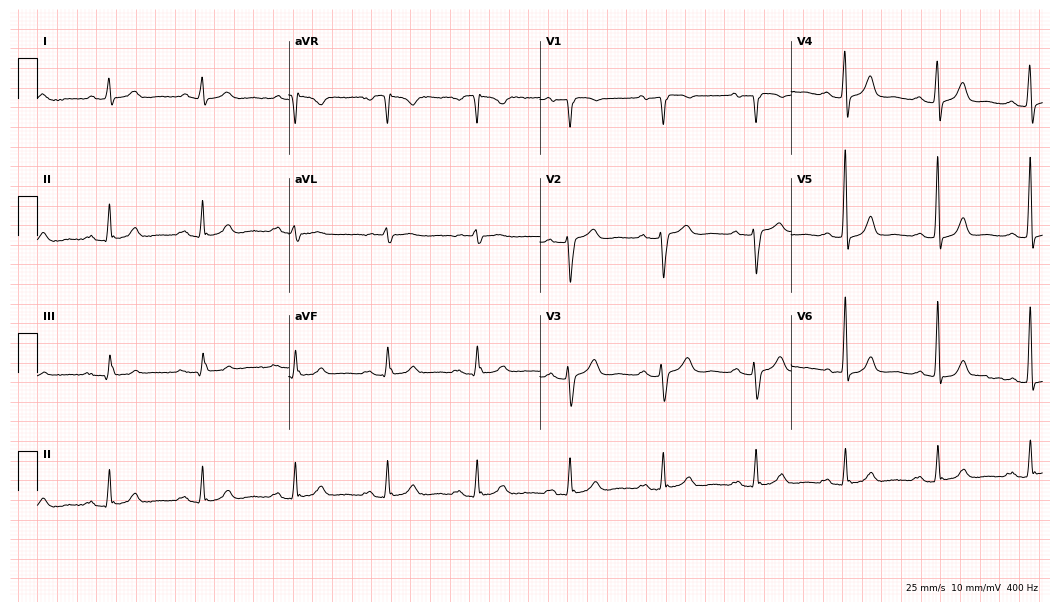
Electrocardiogram (10.2-second recording at 400 Hz), a woman, 68 years old. Overall reading on record: normal ECG.